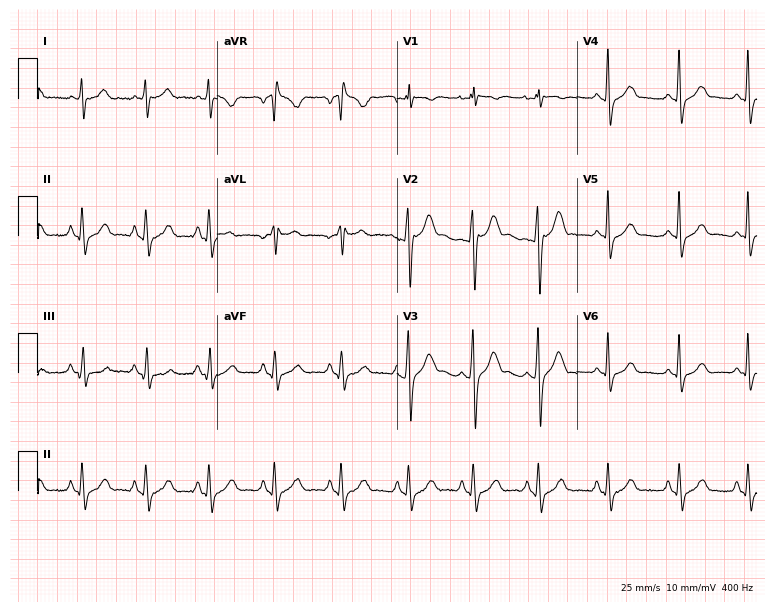
Resting 12-lead electrocardiogram. Patient: a 28-year-old male. None of these six findings is recorded: first-degree AV block, right bundle branch block, left bundle branch block, sinus bradycardia, atrial fibrillation, sinus tachycardia.